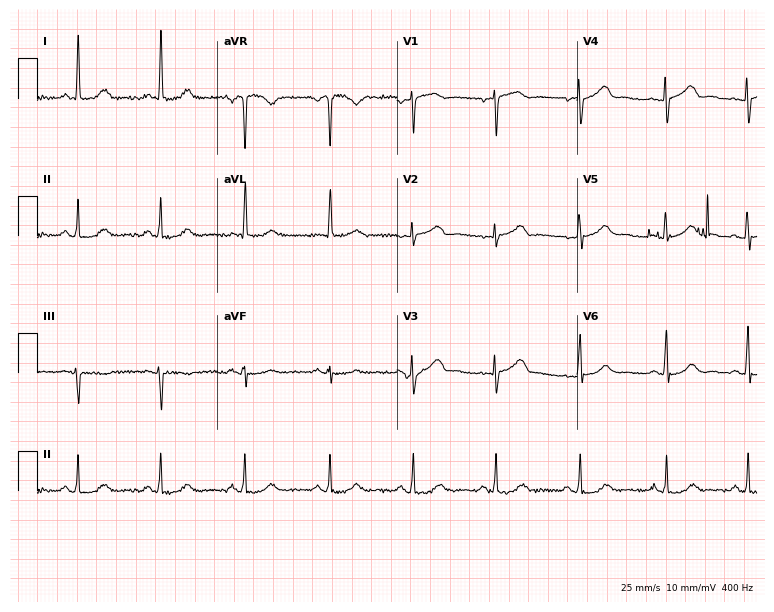
Standard 12-lead ECG recorded from a female patient, 60 years old. Read as a normal ECG.